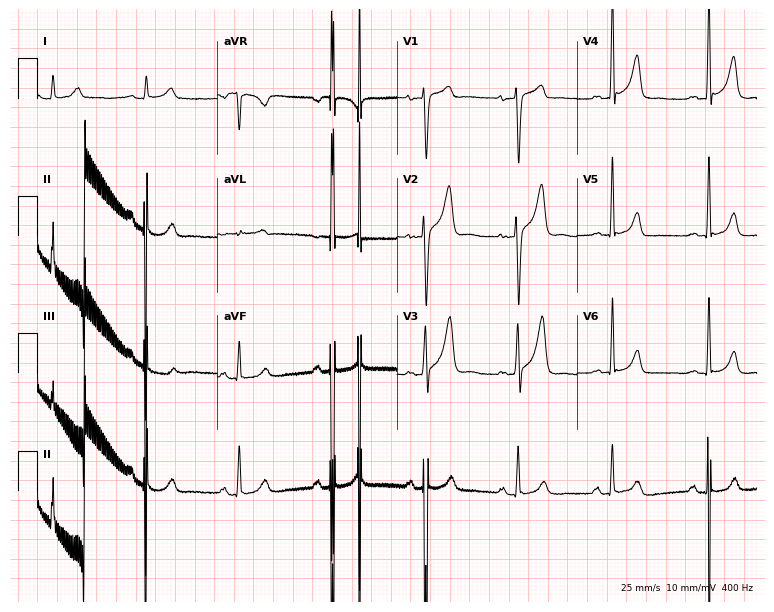
Resting 12-lead electrocardiogram (7.3-second recording at 400 Hz). Patient: a man, 69 years old. None of these six findings is recorded: first-degree AV block, right bundle branch block (RBBB), left bundle branch block (LBBB), sinus bradycardia, atrial fibrillation (AF), sinus tachycardia. Findings outside these six are not listed.